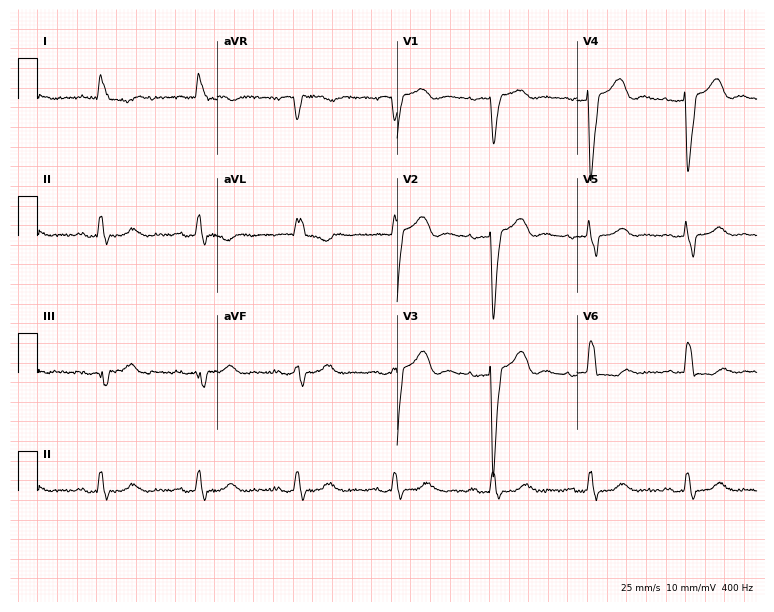
Resting 12-lead electrocardiogram. Patient: an 83-year-old woman. None of these six findings is recorded: first-degree AV block, right bundle branch block, left bundle branch block, sinus bradycardia, atrial fibrillation, sinus tachycardia.